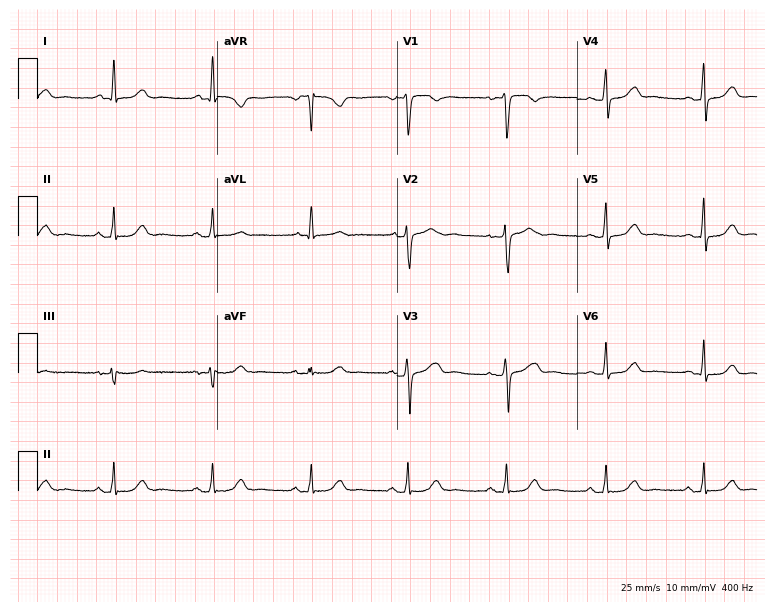
Resting 12-lead electrocardiogram. Patient: a 44-year-old female. Read as a normal ECG.